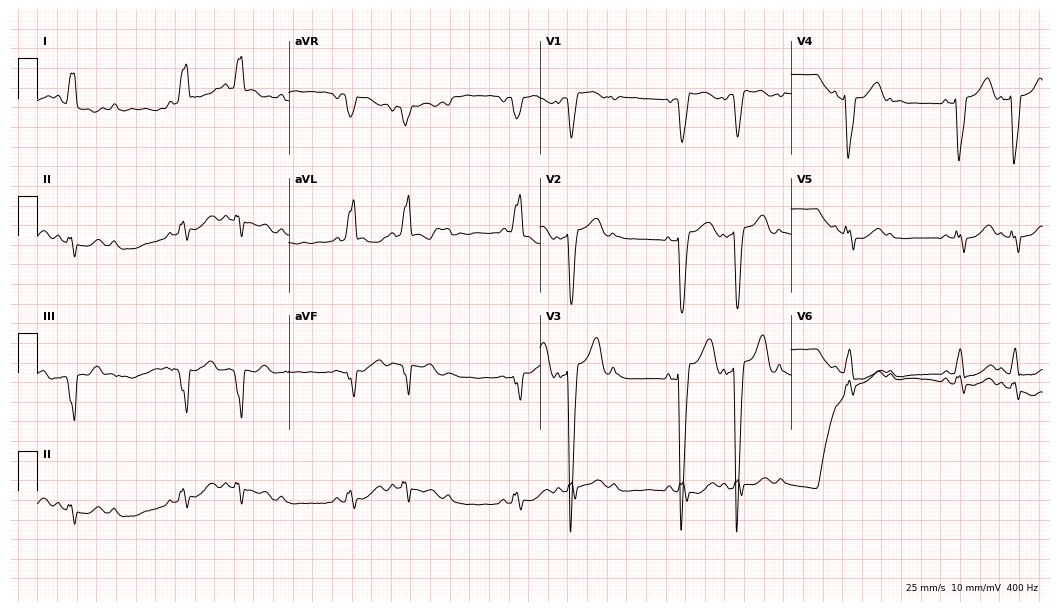
Standard 12-lead ECG recorded from a 79-year-old female. None of these six findings is recorded: first-degree AV block, right bundle branch block, left bundle branch block, sinus bradycardia, atrial fibrillation, sinus tachycardia.